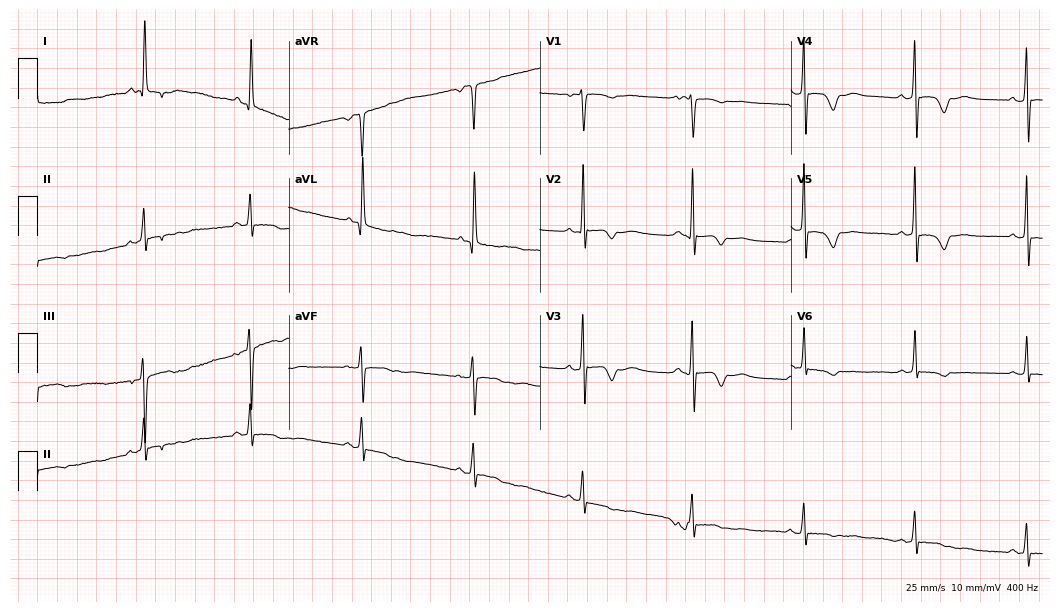
ECG — a 71-year-old female patient. Screened for six findings — first-degree AV block, right bundle branch block, left bundle branch block, sinus bradycardia, atrial fibrillation, sinus tachycardia — none is recorded.